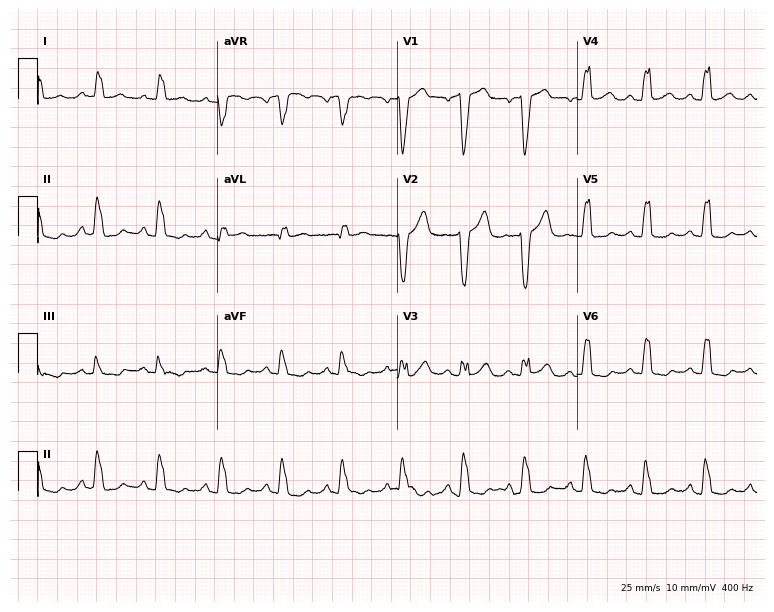
Electrocardiogram (7.3-second recording at 400 Hz), a woman, 62 years old. Interpretation includes left bundle branch block (LBBB).